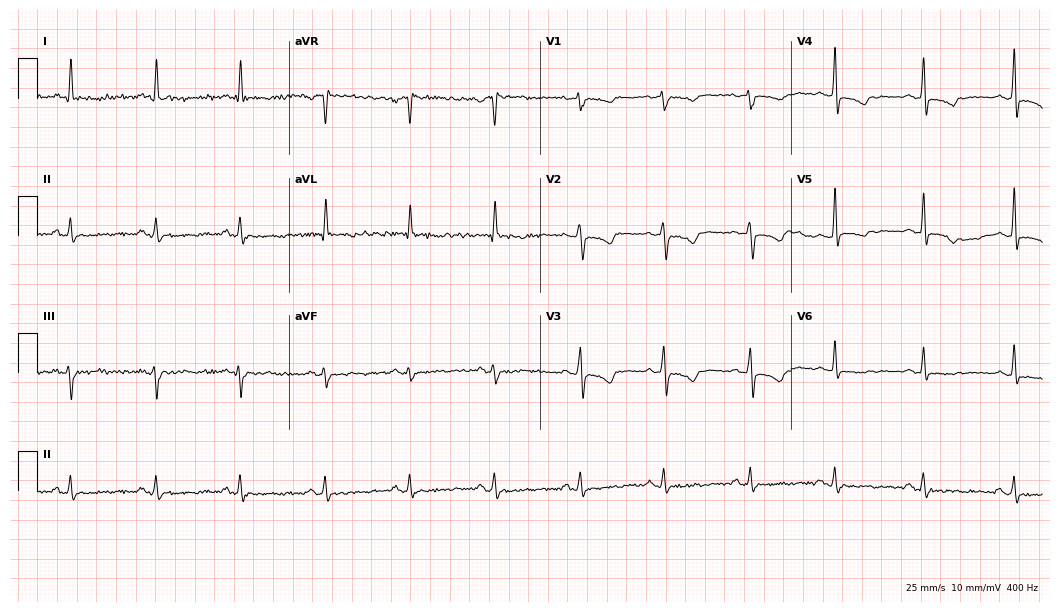
ECG — a 65-year-old female. Screened for six findings — first-degree AV block, right bundle branch block, left bundle branch block, sinus bradycardia, atrial fibrillation, sinus tachycardia — none is recorded. Other findings, if any, are not listed.